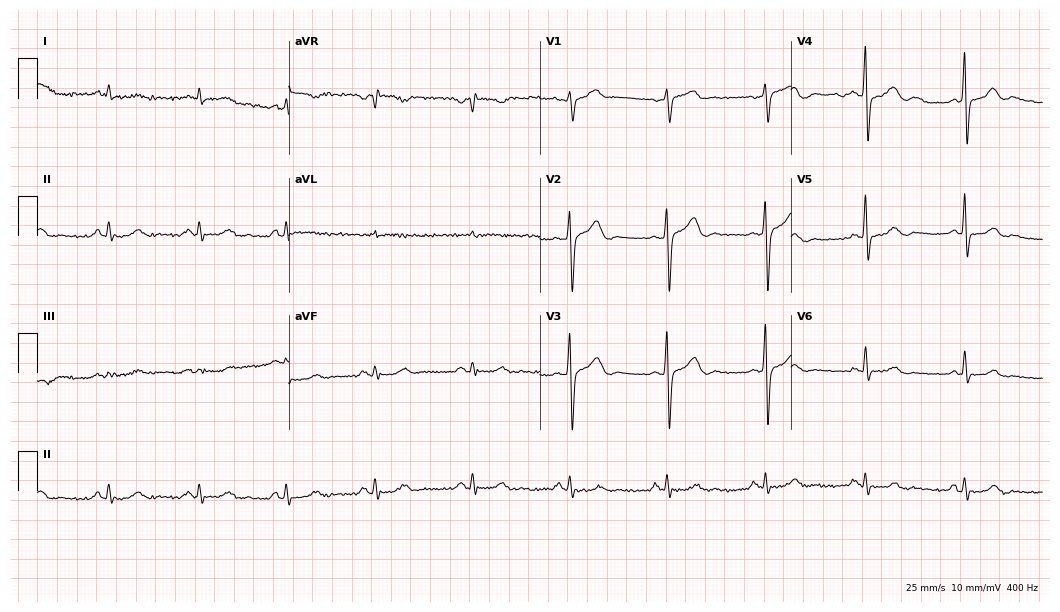
12-lead ECG from an 80-year-old male. Recorded interpretation: within normal limits.